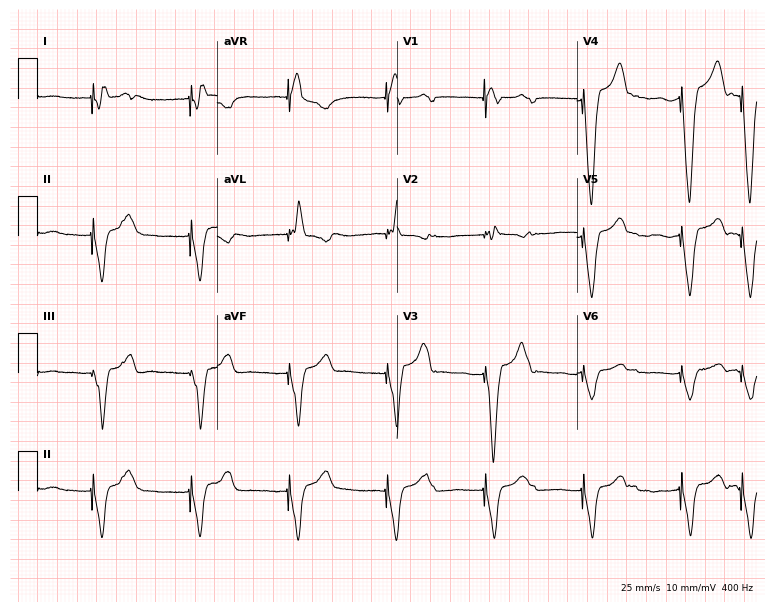
Resting 12-lead electrocardiogram (7.3-second recording at 400 Hz). Patient: a male, 72 years old. None of these six findings is recorded: first-degree AV block, right bundle branch block, left bundle branch block, sinus bradycardia, atrial fibrillation, sinus tachycardia.